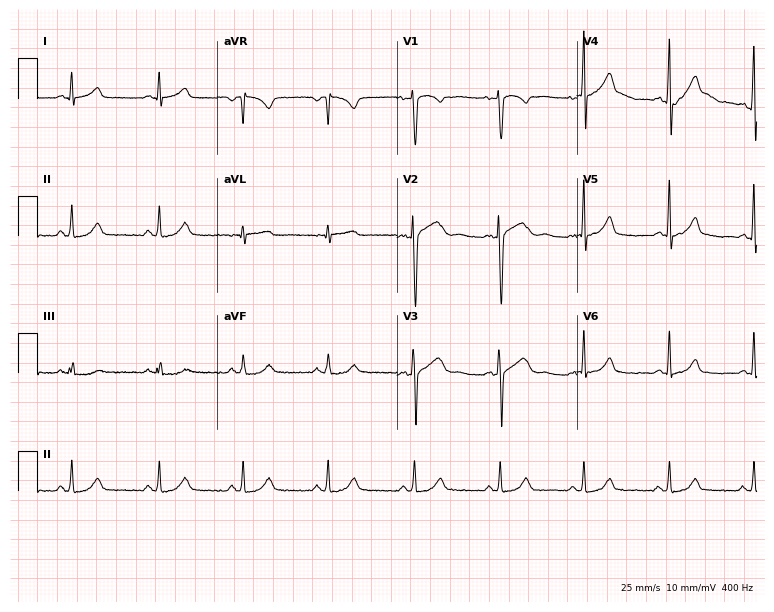
Resting 12-lead electrocardiogram. Patient: a female, 25 years old. Read as a normal ECG.